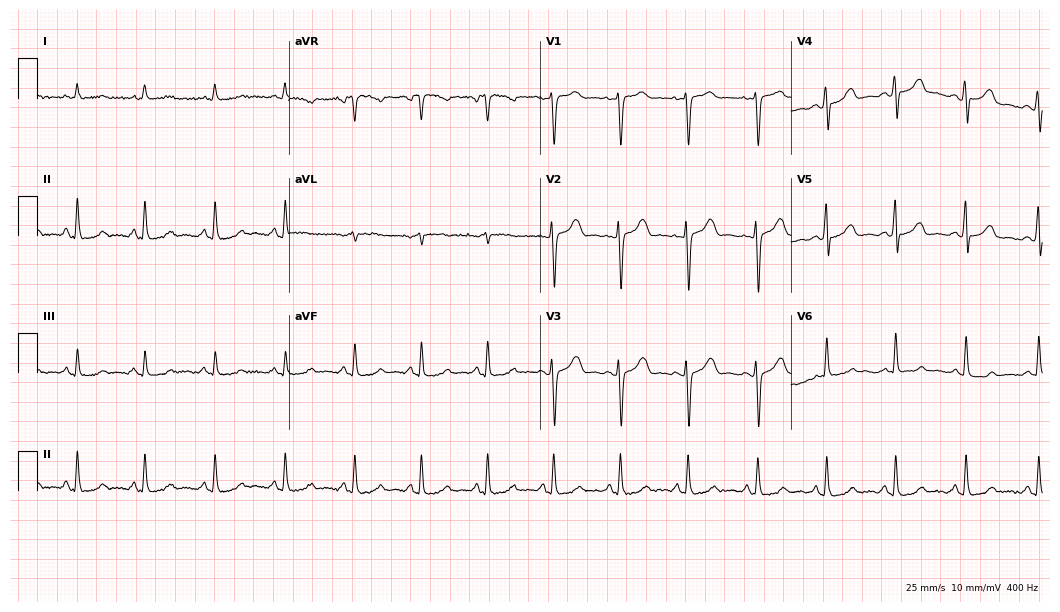
Standard 12-lead ECG recorded from a 53-year-old woman (10.2-second recording at 400 Hz). Read as a normal ECG.